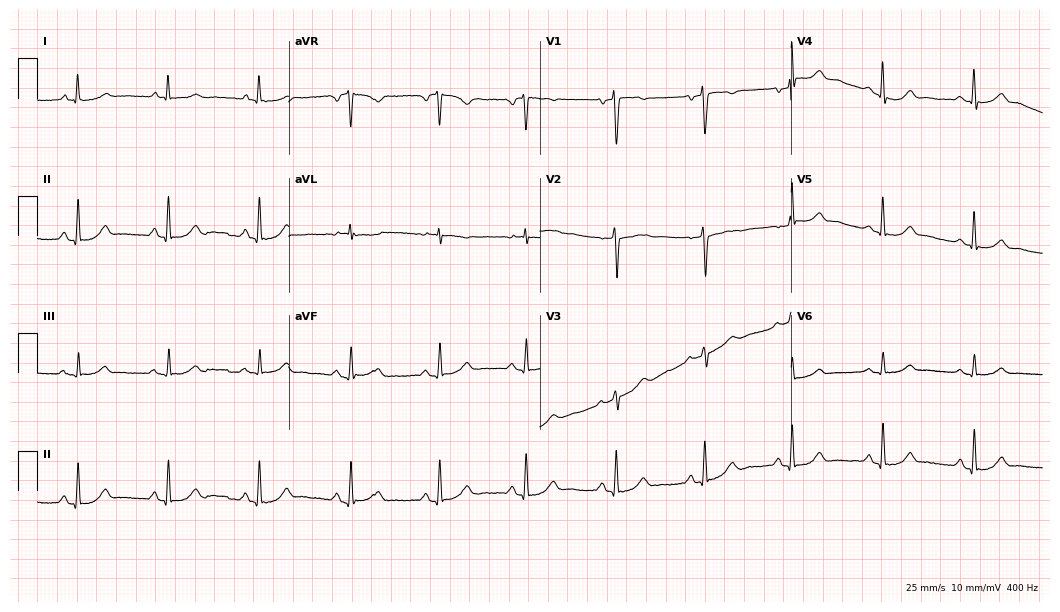
Standard 12-lead ECG recorded from a 65-year-old female patient. Read as a normal ECG.